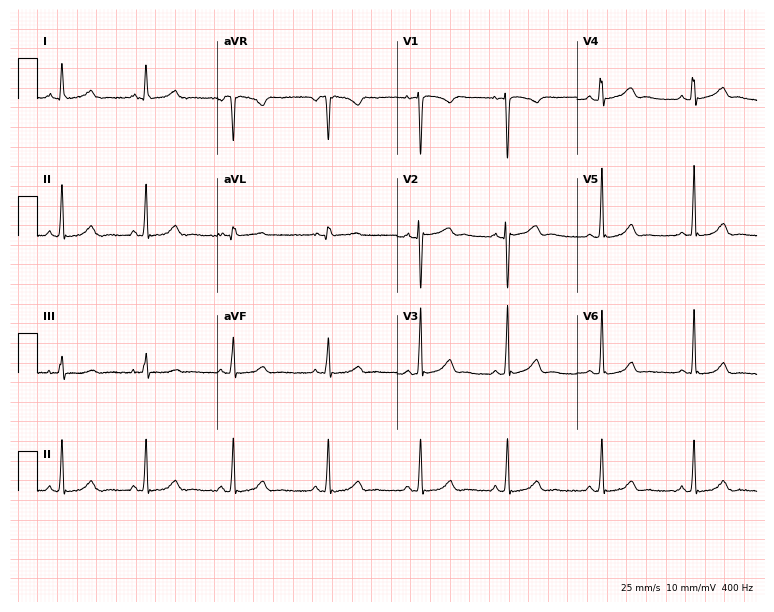
ECG — a 26-year-old woman. Screened for six findings — first-degree AV block, right bundle branch block, left bundle branch block, sinus bradycardia, atrial fibrillation, sinus tachycardia — none is recorded.